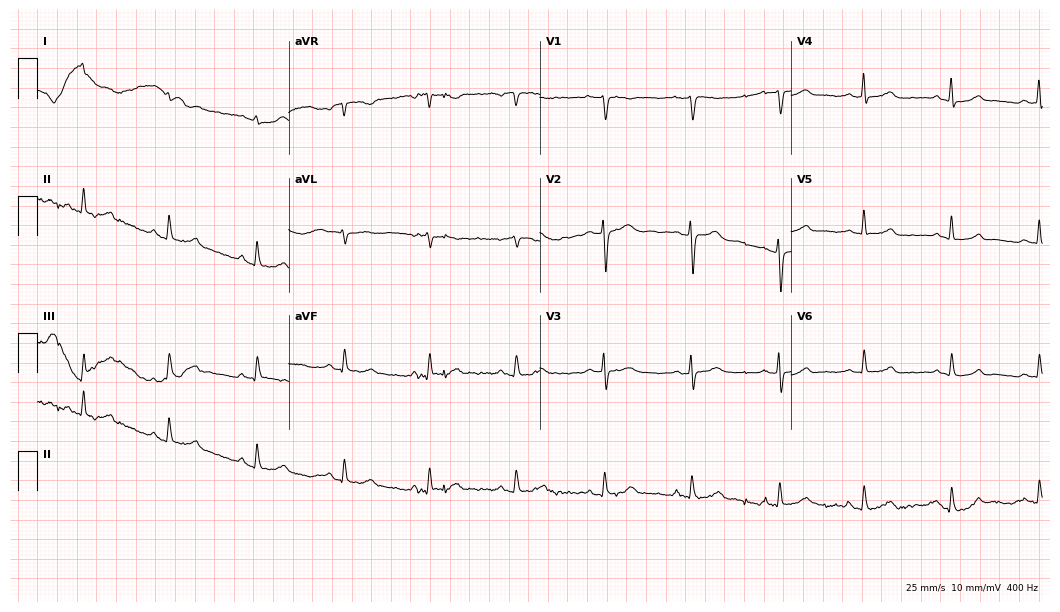
Resting 12-lead electrocardiogram. Patient: a woman, 44 years old. Read as a normal ECG.